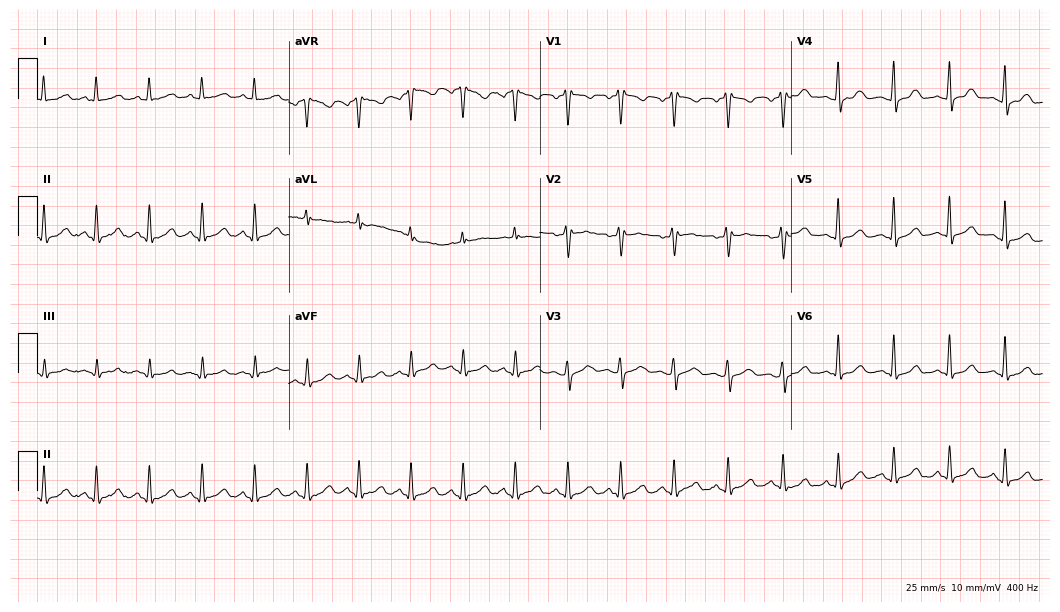
ECG (10.2-second recording at 400 Hz) — a woman, 42 years old. Findings include sinus tachycardia (a sinus rate of 100 beats per minute or more).